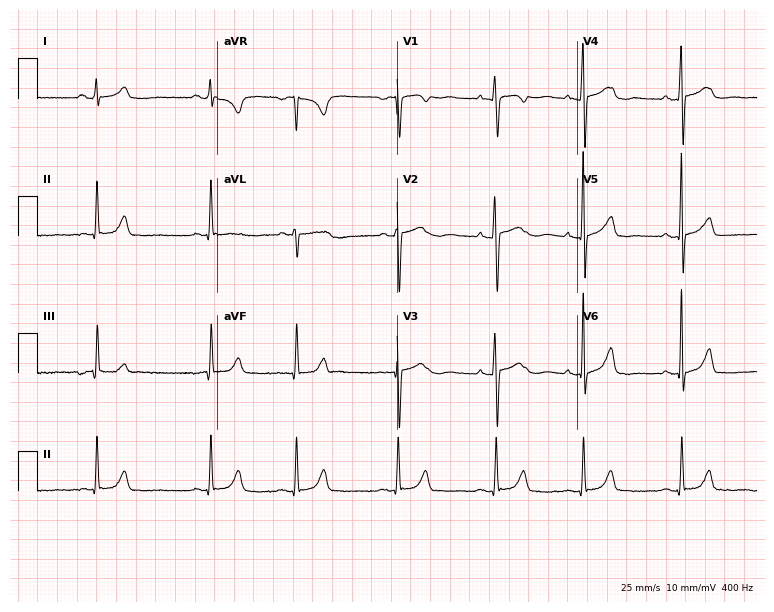
Resting 12-lead electrocardiogram (7.3-second recording at 400 Hz). Patient: a female, 31 years old. None of these six findings is recorded: first-degree AV block, right bundle branch block, left bundle branch block, sinus bradycardia, atrial fibrillation, sinus tachycardia. Other findings, if any, are not listed.